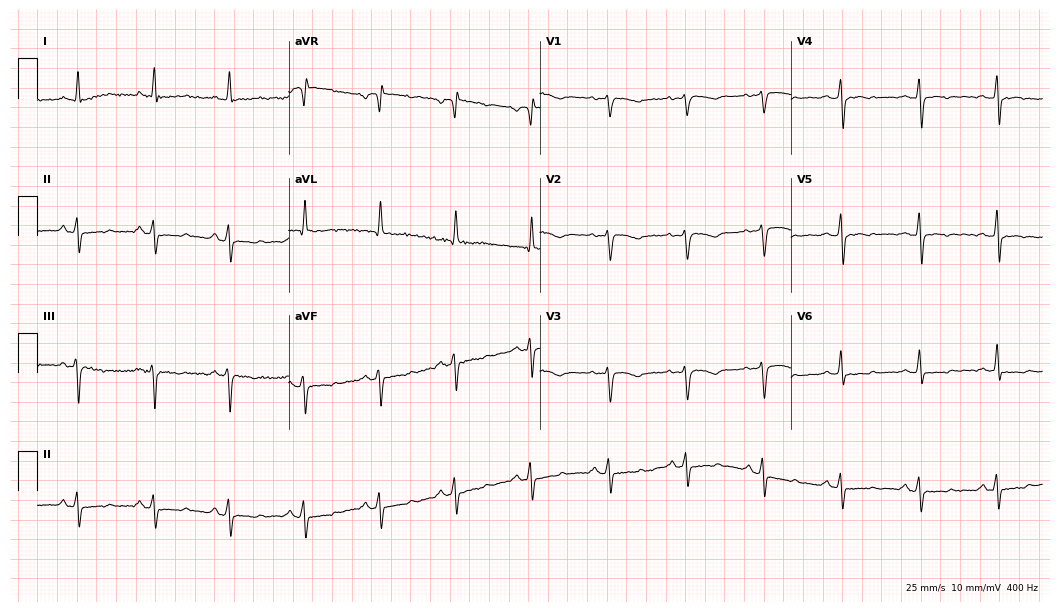
ECG — a female, 57 years old. Screened for six findings — first-degree AV block, right bundle branch block, left bundle branch block, sinus bradycardia, atrial fibrillation, sinus tachycardia — none is recorded. Other findings, if any, are not listed.